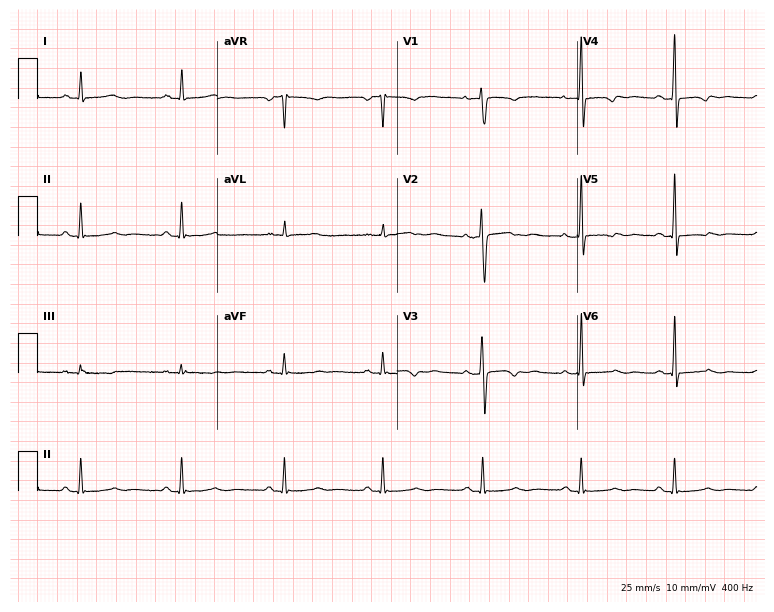
Resting 12-lead electrocardiogram (7.3-second recording at 400 Hz). Patient: a female, 41 years old. None of these six findings is recorded: first-degree AV block, right bundle branch block, left bundle branch block, sinus bradycardia, atrial fibrillation, sinus tachycardia.